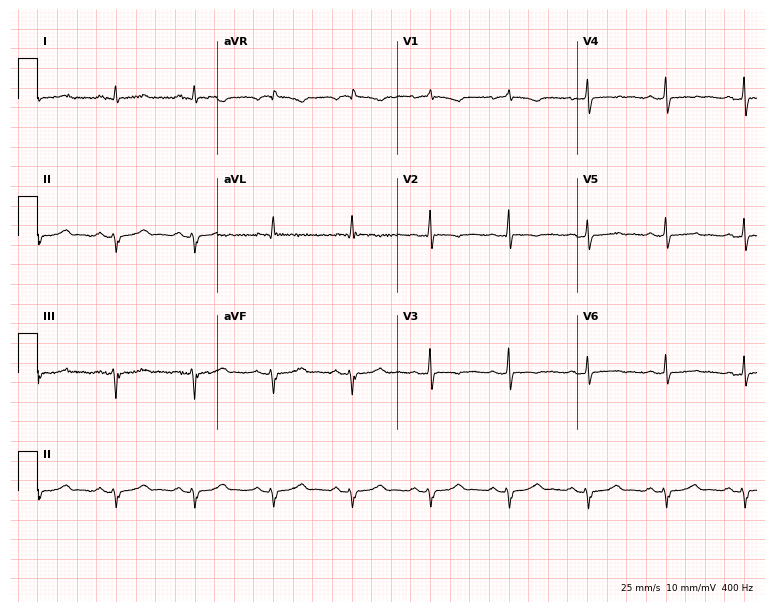
ECG (7.3-second recording at 400 Hz) — a female, 49 years old. Screened for six findings — first-degree AV block, right bundle branch block, left bundle branch block, sinus bradycardia, atrial fibrillation, sinus tachycardia — none is recorded. Findings outside these six are not listed.